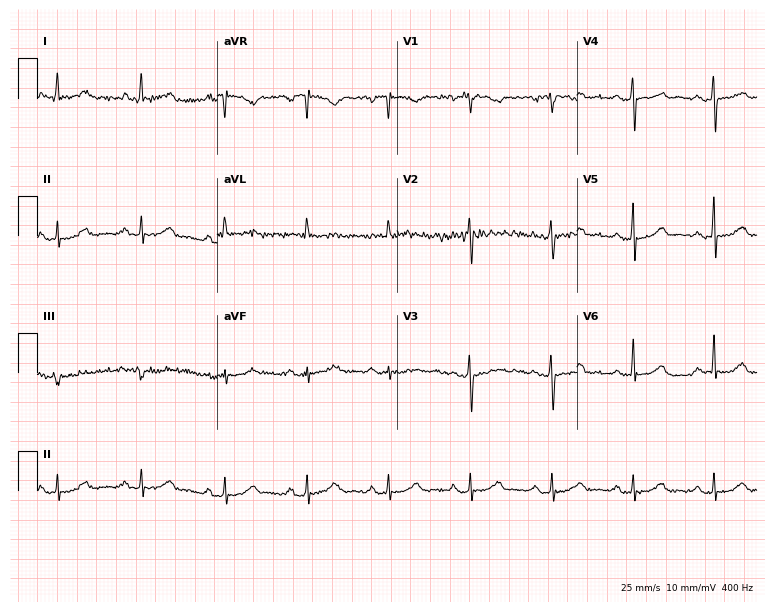
12-lead ECG from a 70-year-old female patient. Recorded interpretation: within normal limits.